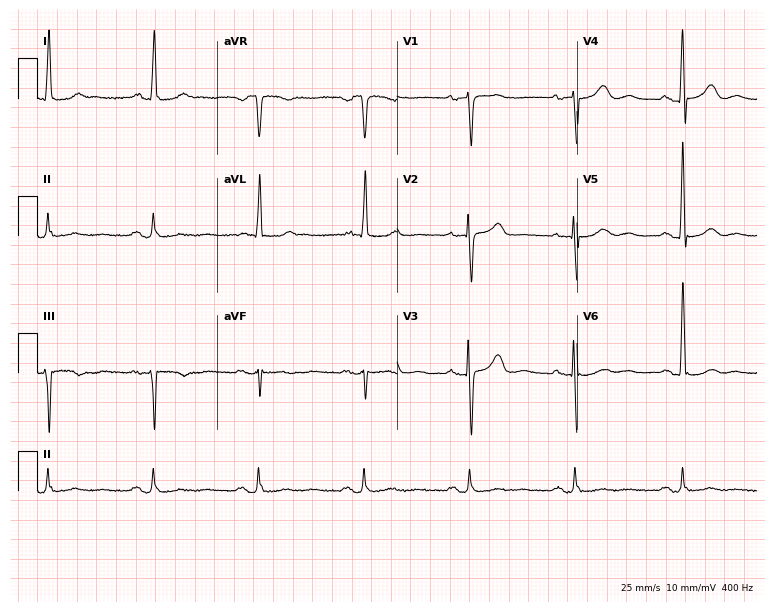
12-lead ECG from a 70-year-old woman. Labelled as a normal ECG.